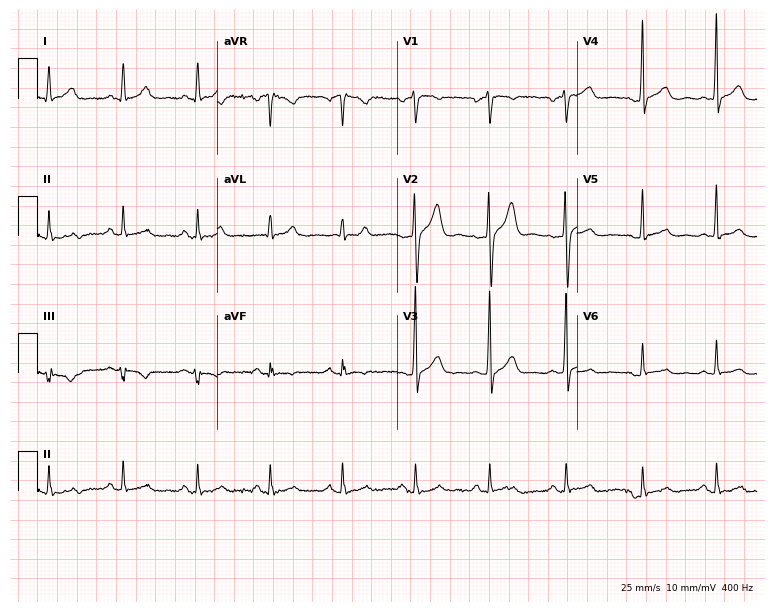
Standard 12-lead ECG recorded from a male patient, 45 years old (7.3-second recording at 400 Hz). None of these six findings is recorded: first-degree AV block, right bundle branch block, left bundle branch block, sinus bradycardia, atrial fibrillation, sinus tachycardia.